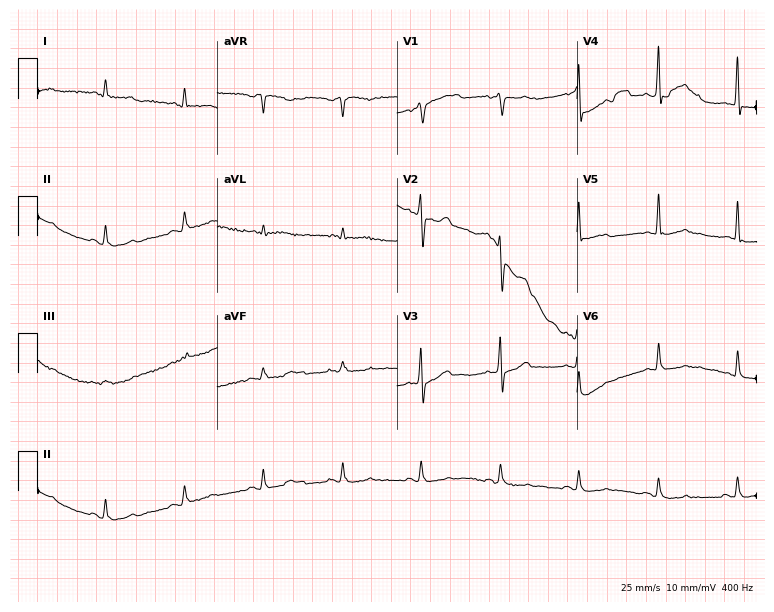
Electrocardiogram, a man, 71 years old. Of the six screened findings (first-degree AV block, right bundle branch block (RBBB), left bundle branch block (LBBB), sinus bradycardia, atrial fibrillation (AF), sinus tachycardia), none is recorded.